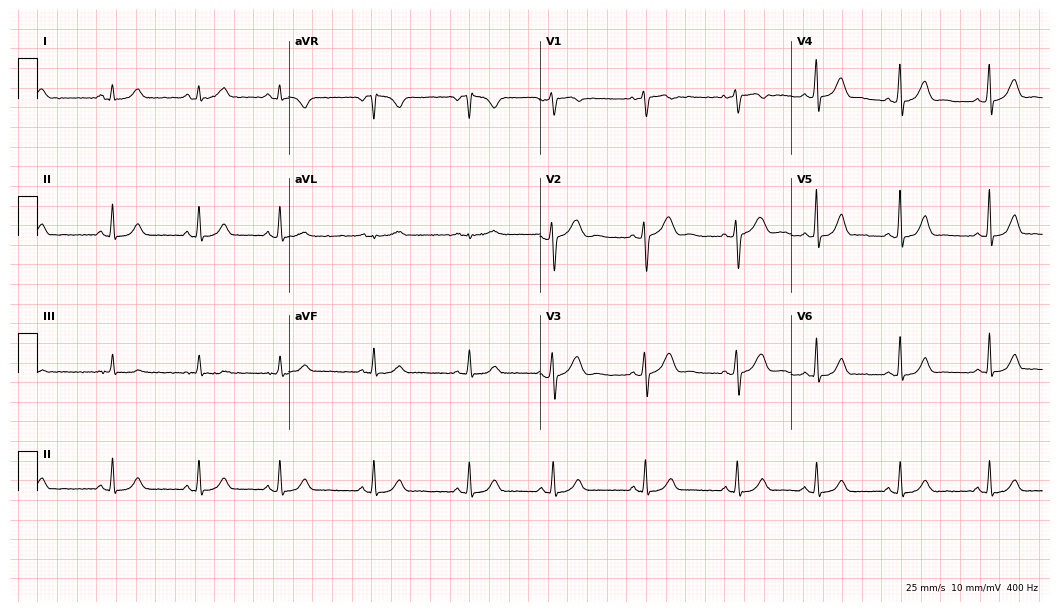
Resting 12-lead electrocardiogram (10.2-second recording at 400 Hz). Patient: a female, 24 years old. Read as a normal ECG.